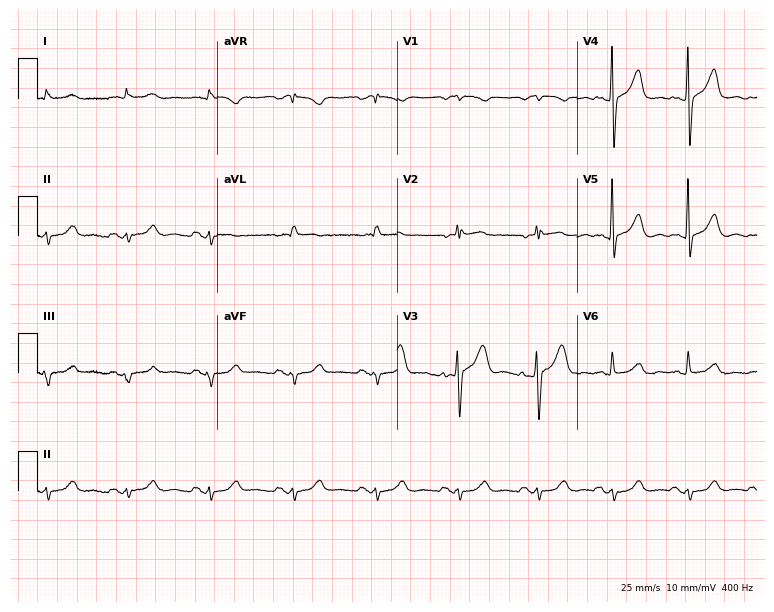
12-lead ECG (7.3-second recording at 400 Hz) from a male patient, 52 years old. Screened for six findings — first-degree AV block, right bundle branch block, left bundle branch block, sinus bradycardia, atrial fibrillation, sinus tachycardia — none is recorded. Findings outside these six are not listed.